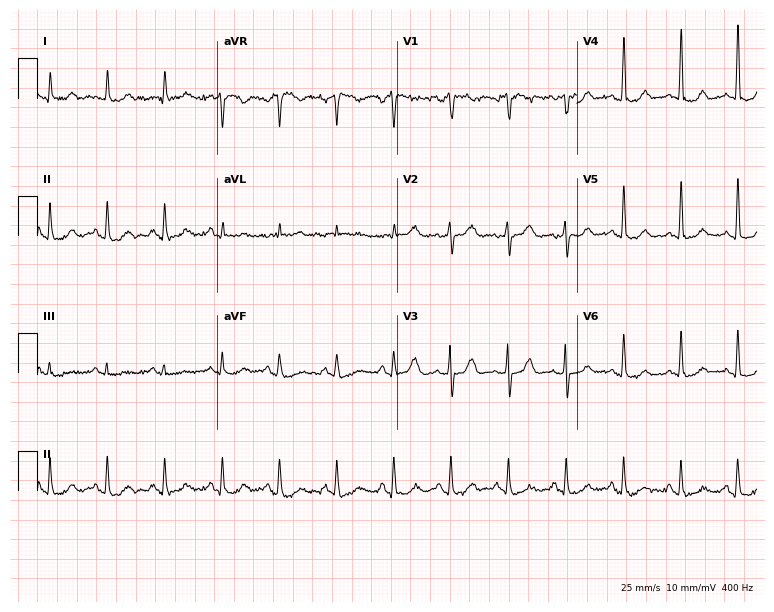
12-lead ECG (7.3-second recording at 400 Hz) from a 79-year-old female. Findings include sinus tachycardia (a sinus rate of 100 beats per minute or more).